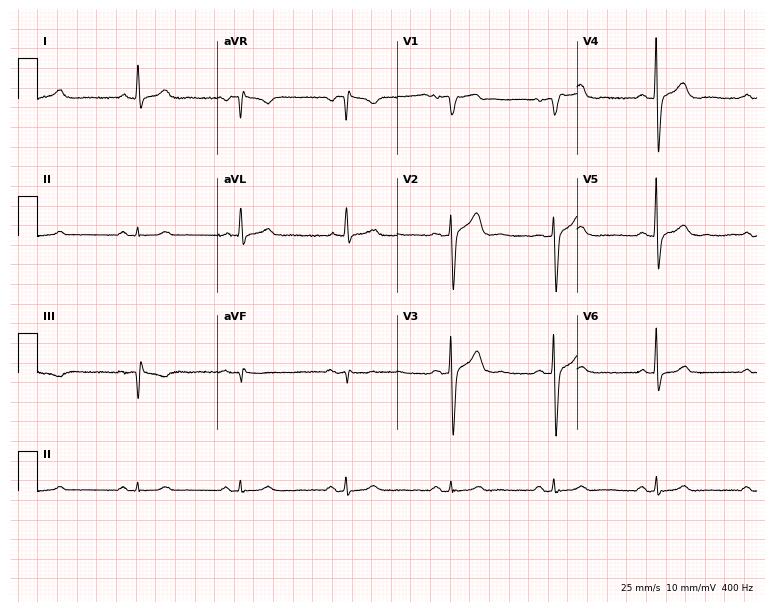
ECG (7.3-second recording at 400 Hz) — a man, 65 years old. Labelled as a normal ECG.